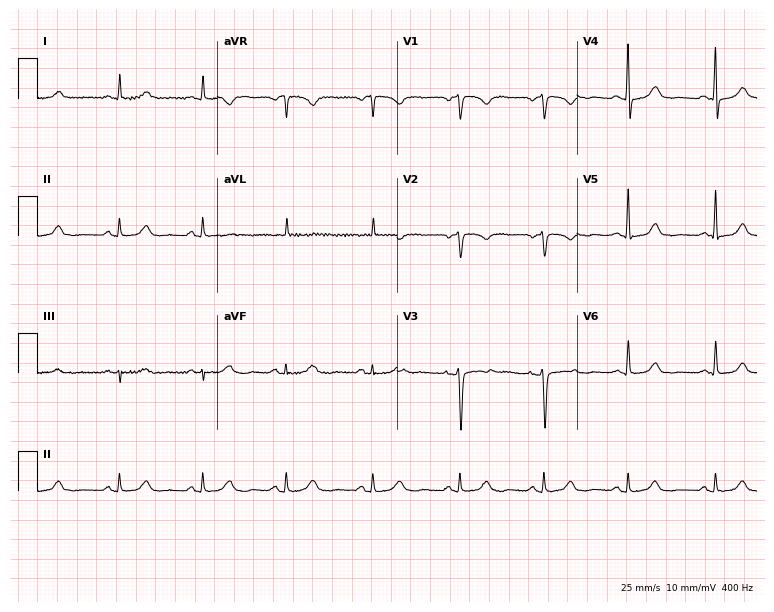
ECG — a female patient, 42 years old. Screened for six findings — first-degree AV block, right bundle branch block, left bundle branch block, sinus bradycardia, atrial fibrillation, sinus tachycardia — none is recorded.